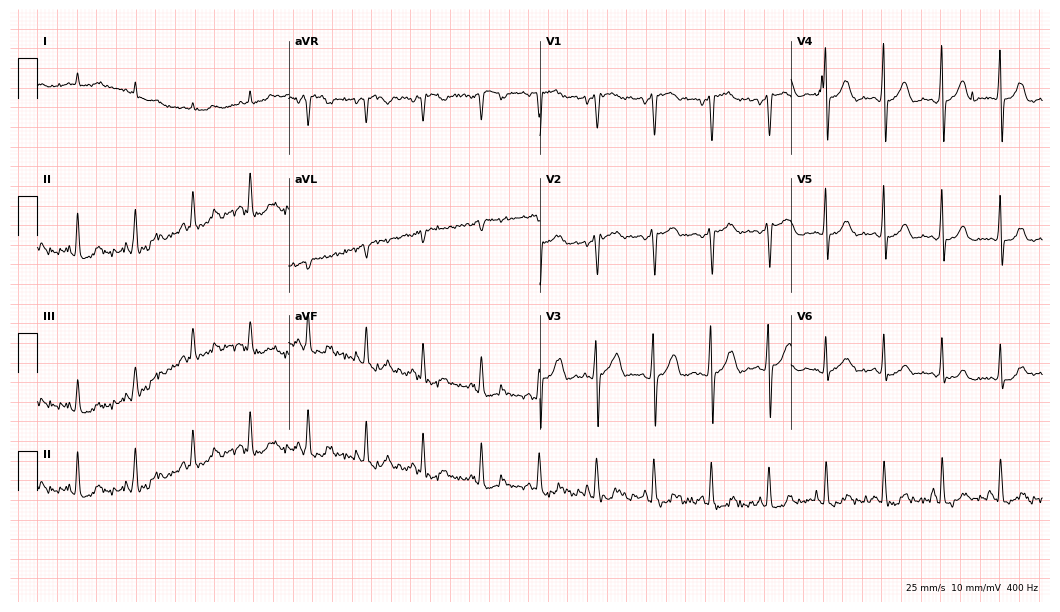
ECG — a 53-year-old male. Findings include sinus tachycardia (a sinus rate of 100 beats per minute or more).